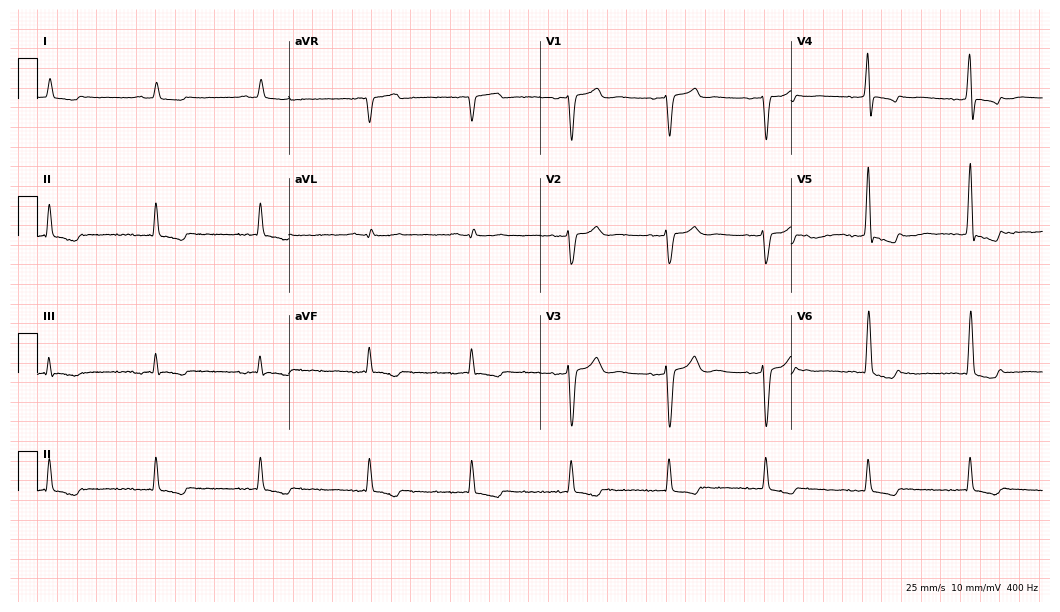
ECG (10.2-second recording at 400 Hz) — a 50-year-old man. Screened for six findings — first-degree AV block, right bundle branch block, left bundle branch block, sinus bradycardia, atrial fibrillation, sinus tachycardia — none is recorded. Other findings, if any, are not listed.